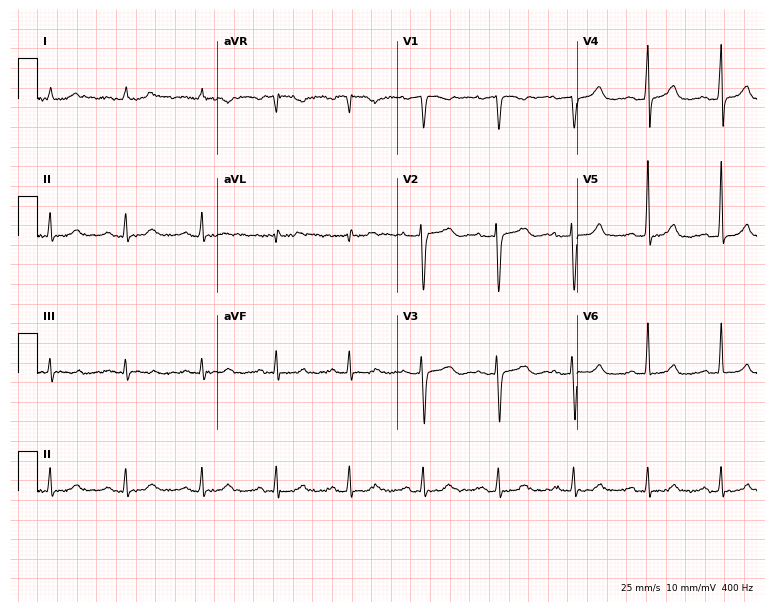
Resting 12-lead electrocardiogram (7.3-second recording at 400 Hz). Patient: a woman, 55 years old. Read as a normal ECG.